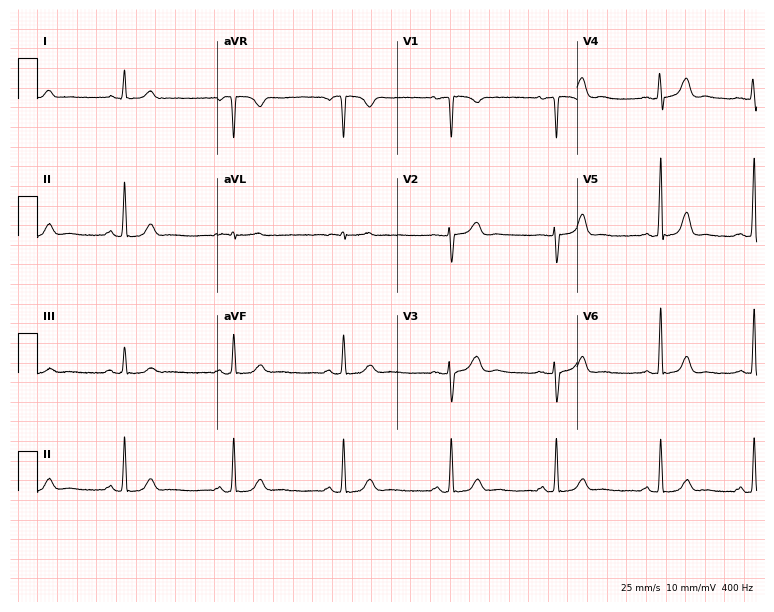
Resting 12-lead electrocardiogram (7.3-second recording at 400 Hz). Patient: a woman, 35 years old. Read as a normal ECG.